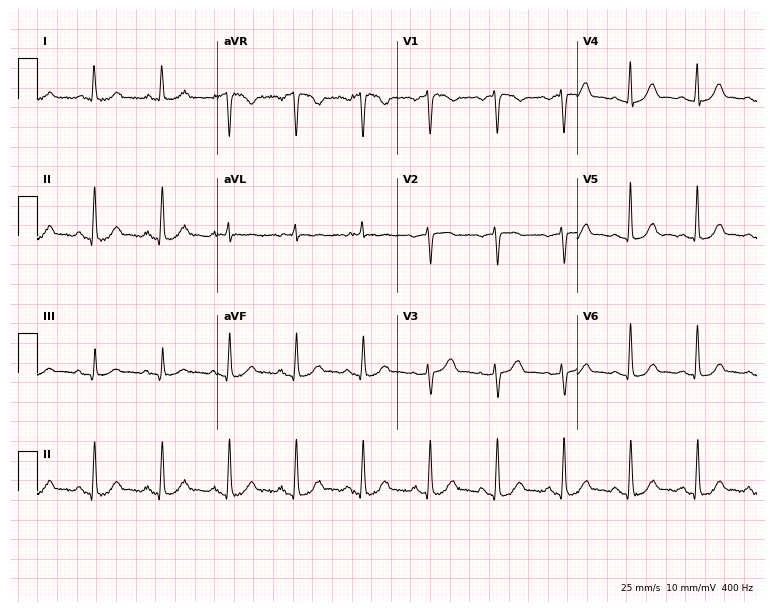
Standard 12-lead ECG recorded from a 73-year-old woman. Read as a normal ECG.